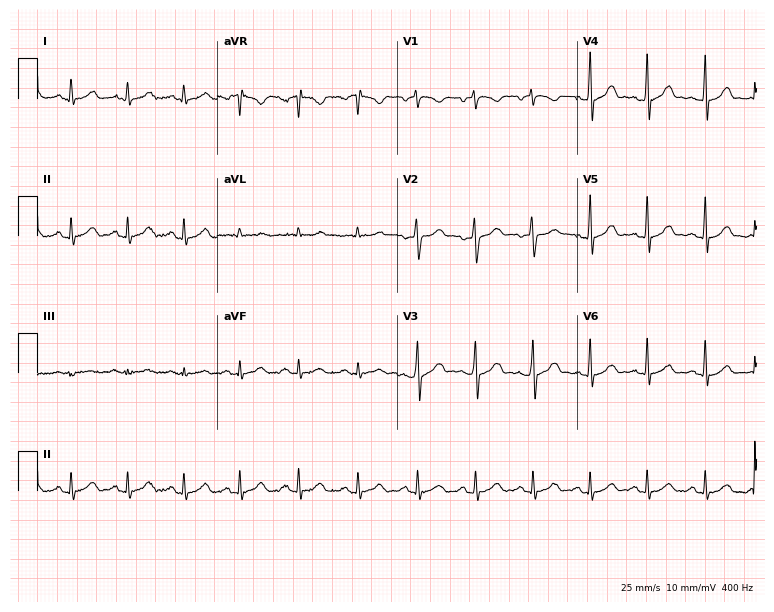
12-lead ECG from a 40-year-old man. No first-degree AV block, right bundle branch block (RBBB), left bundle branch block (LBBB), sinus bradycardia, atrial fibrillation (AF) or sinus tachycardia recorded for this tracing.